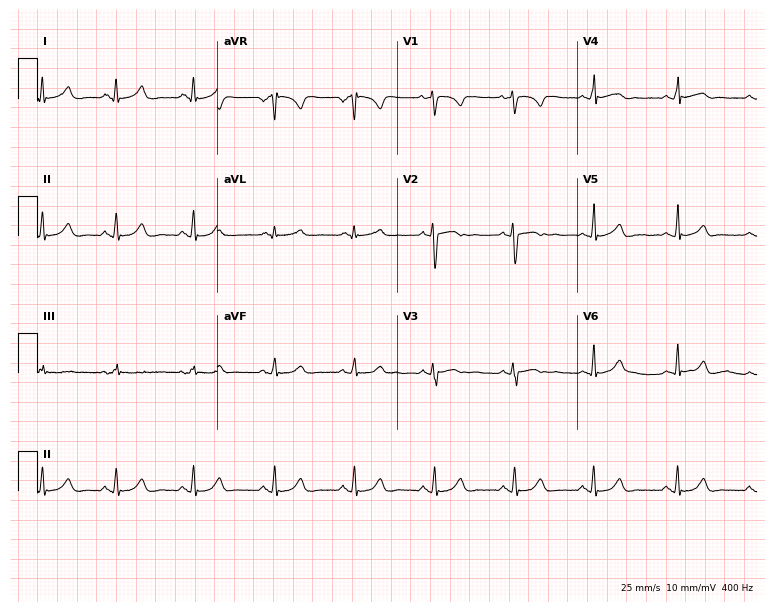
Electrocardiogram (7.3-second recording at 400 Hz), a 20-year-old woman. Overall reading on record: normal ECG.